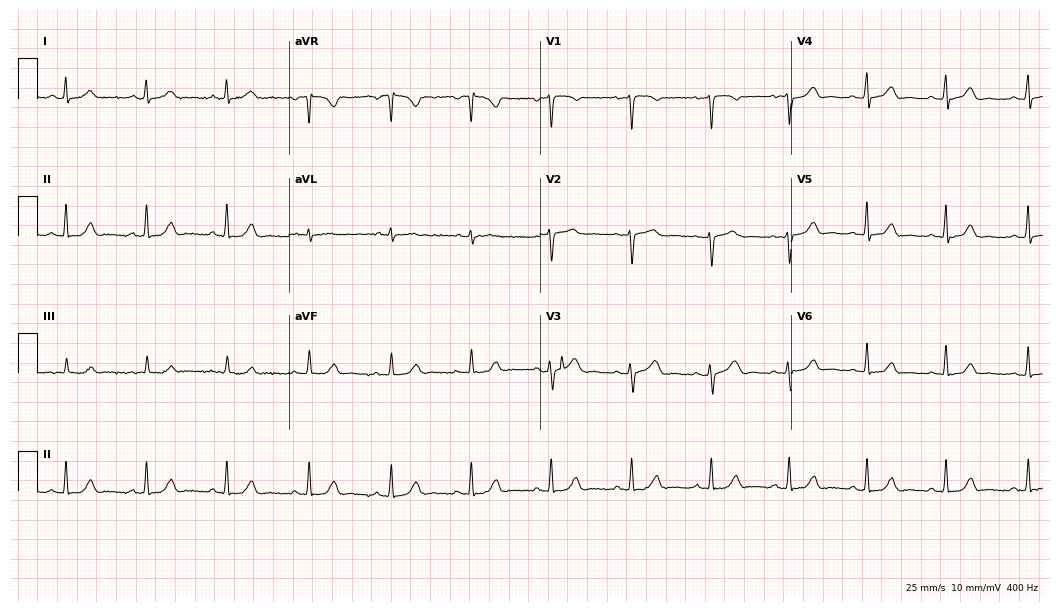
Resting 12-lead electrocardiogram (10.2-second recording at 400 Hz). Patient: a 38-year-old female. Read as a normal ECG.